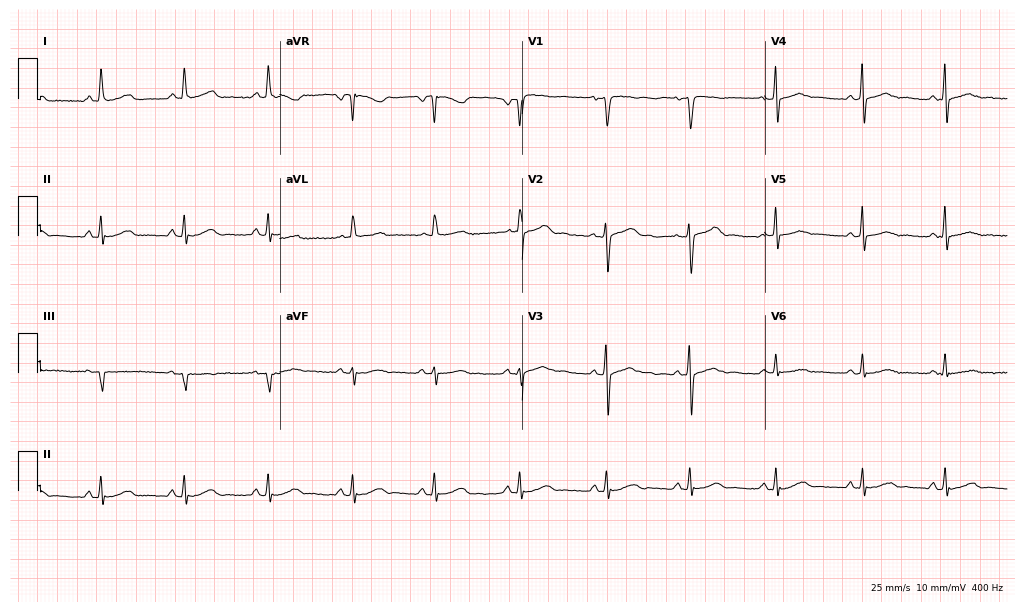
ECG (9.9-second recording at 400 Hz) — a 47-year-old female patient. Labelled as a normal ECG.